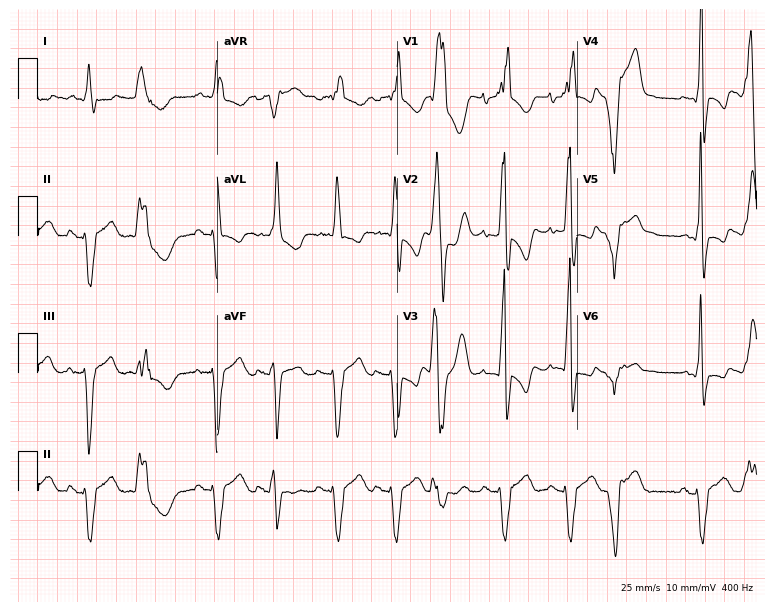
Electrocardiogram (7.3-second recording at 400 Hz), a 70-year-old female. Interpretation includes right bundle branch block.